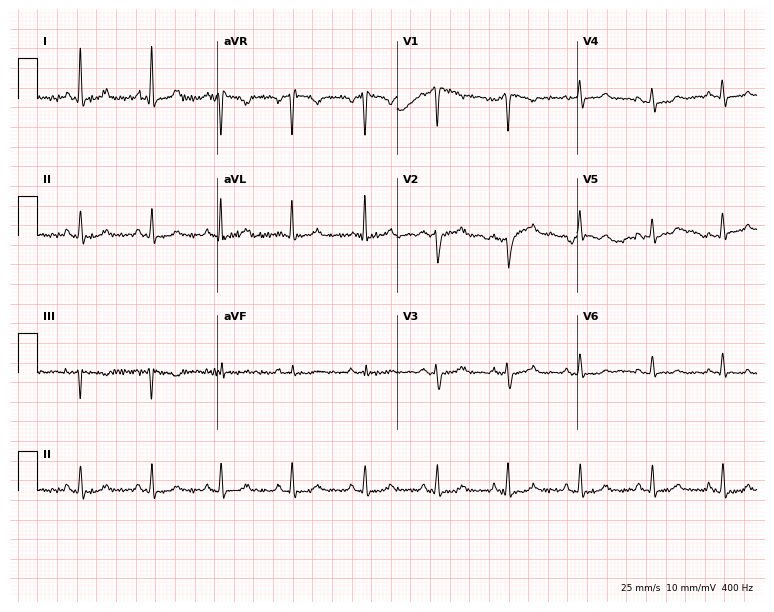
Electrocardiogram, a female, 45 years old. Of the six screened findings (first-degree AV block, right bundle branch block, left bundle branch block, sinus bradycardia, atrial fibrillation, sinus tachycardia), none is recorded.